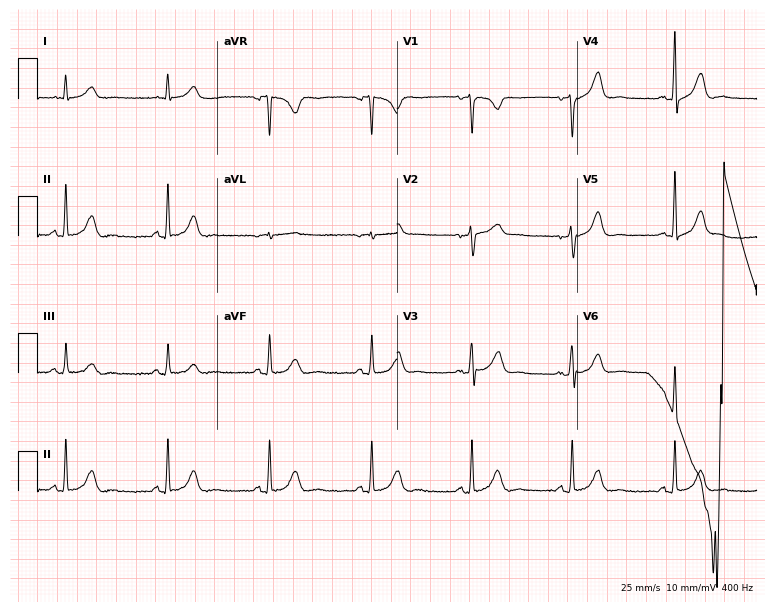
ECG (7.3-second recording at 400 Hz) — a female, 57 years old. Screened for six findings — first-degree AV block, right bundle branch block (RBBB), left bundle branch block (LBBB), sinus bradycardia, atrial fibrillation (AF), sinus tachycardia — none is recorded. Only these six findings were labelled.